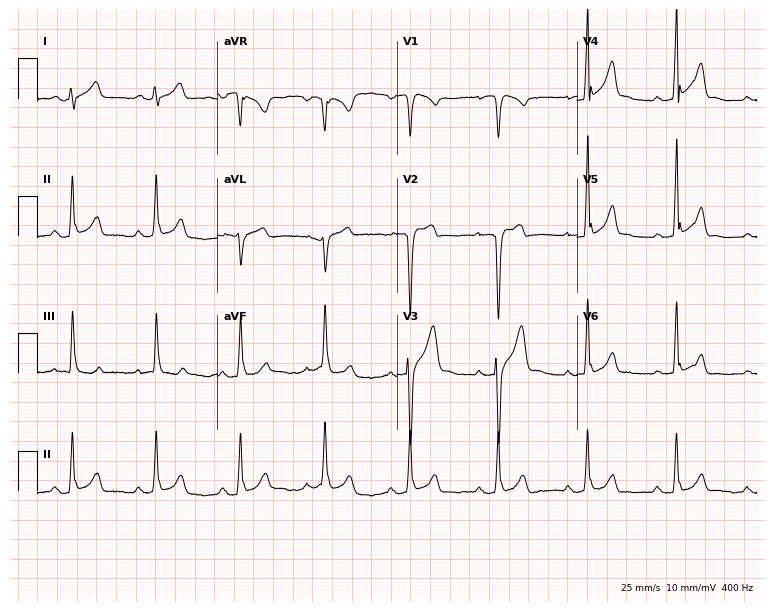
Resting 12-lead electrocardiogram. Patient: a male, 19 years old. Read as a normal ECG.